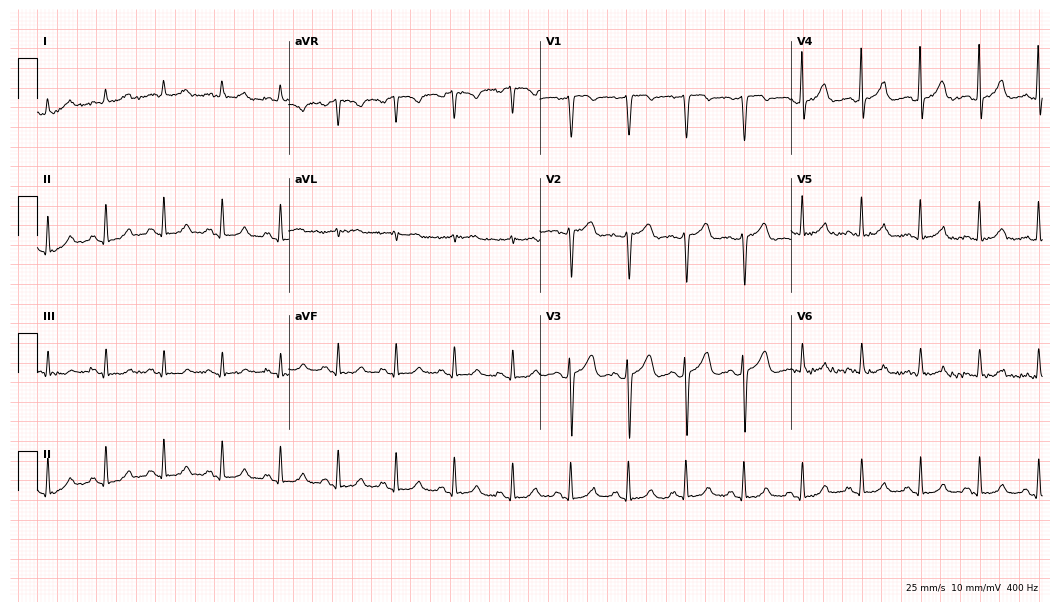
12-lead ECG from a female, 66 years old. Findings include sinus tachycardia (a sinus rate of 100 beats per minute or more).